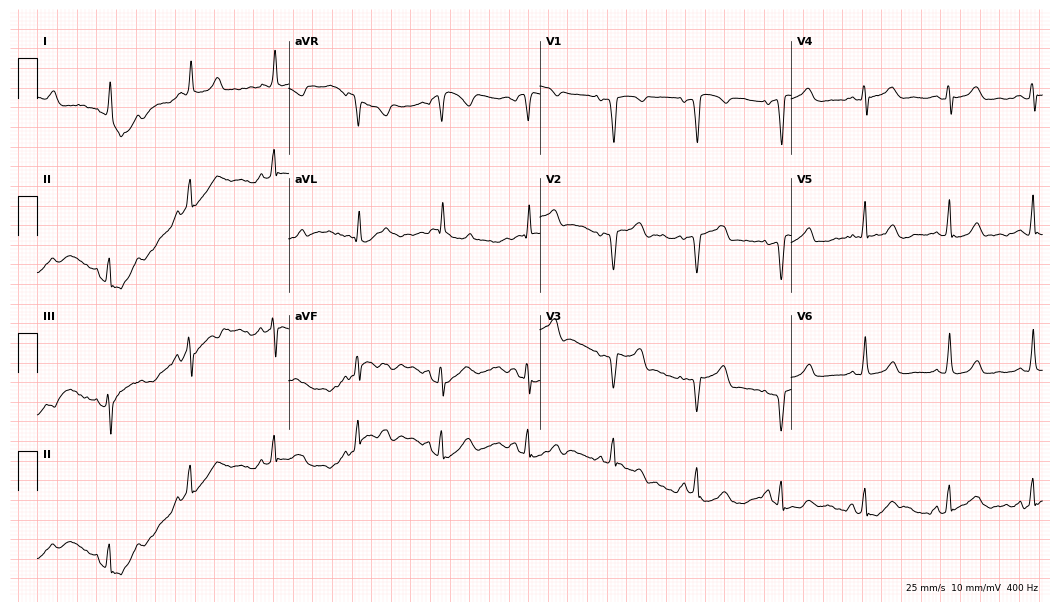
ECG — a 59-year-old female. Screened for six findings — first-degree AV block, right bundle branch block, left bundle branch block, sinus bradycardia, atrial fibrillation, sinus tachycardia — none is recorded. Only these six findings were labelled.